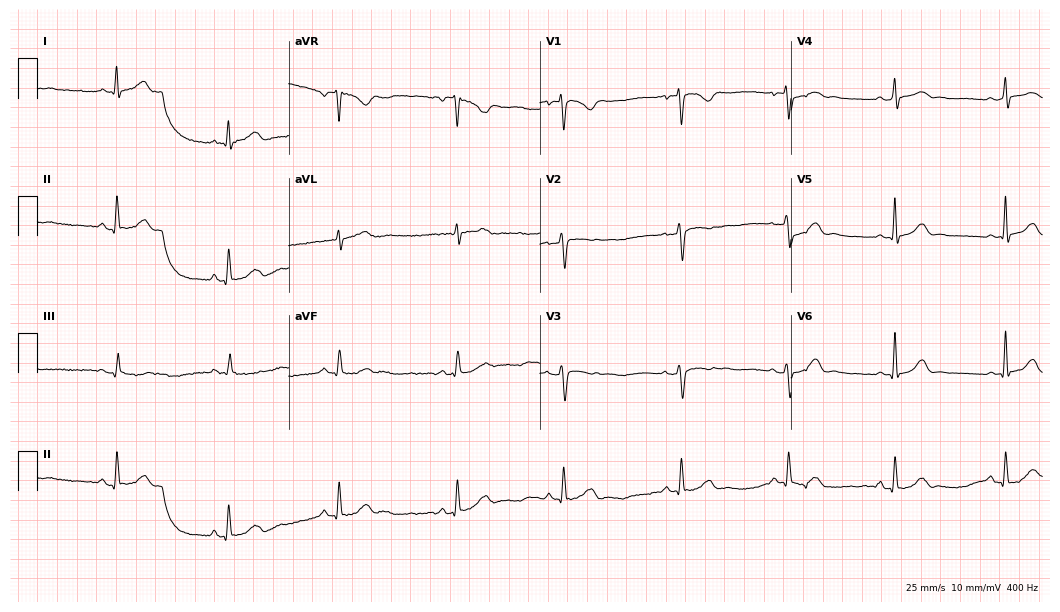
Standard 12-lead ECG recorded from a woman, 26 years old. Read as a normal ECG.